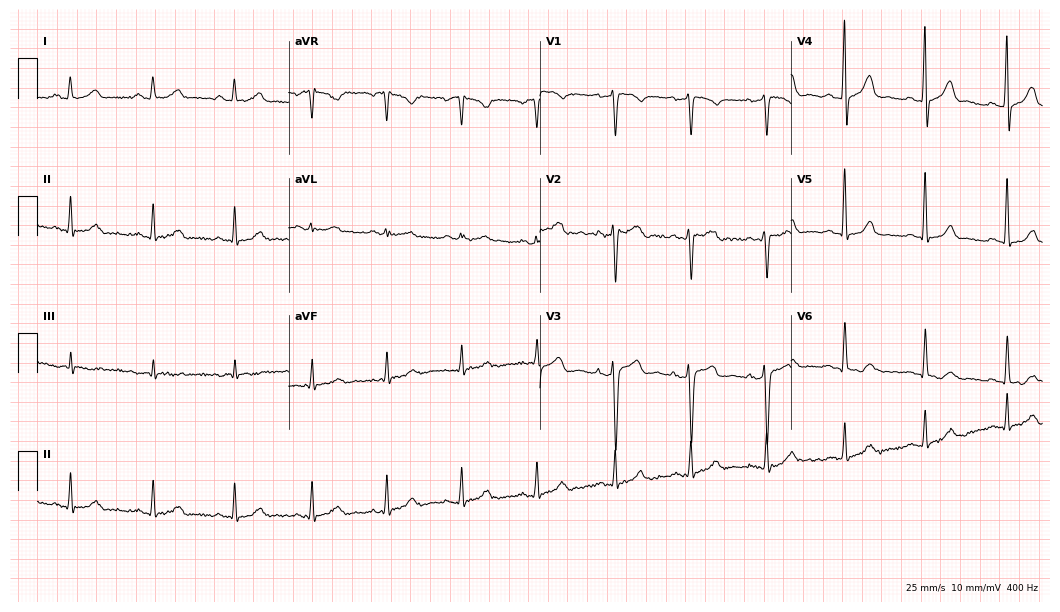
12-lead ECG from a male patient, 35 years old (10.2-second recording at 400 Hz). No first-degree AV block, right bundle branch block, left bundle branch block, sinus bradycardia, atrial fibrillation or sinus tachycardia recorded for this tracing. Only these six findings were labelled.